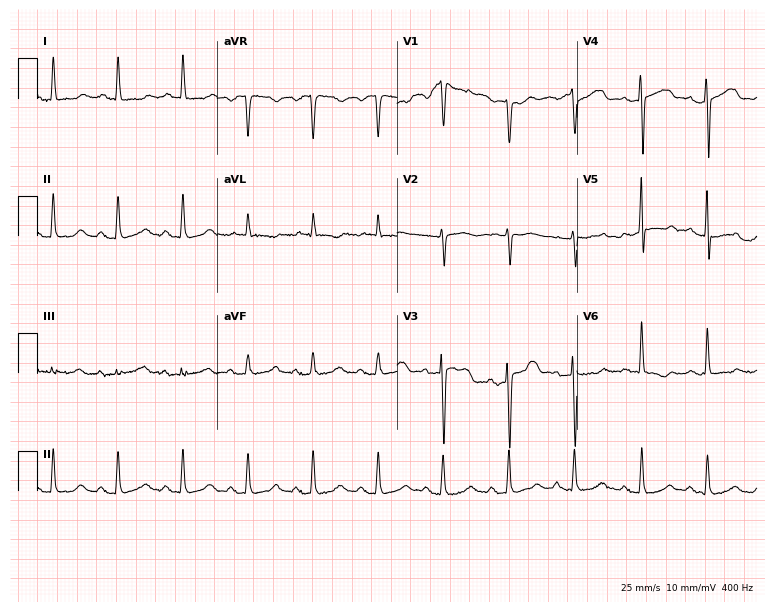
Resting 12-lead electrocardiogram (7.3-second recording at 400 Hz). Patient: a woman, 64 years old. None of these six findings is recorded: first-degree AV block, right bundle branch block, left bundle branch block, sinus bradycardia, atrial fibrillation, sinus tachycardia.